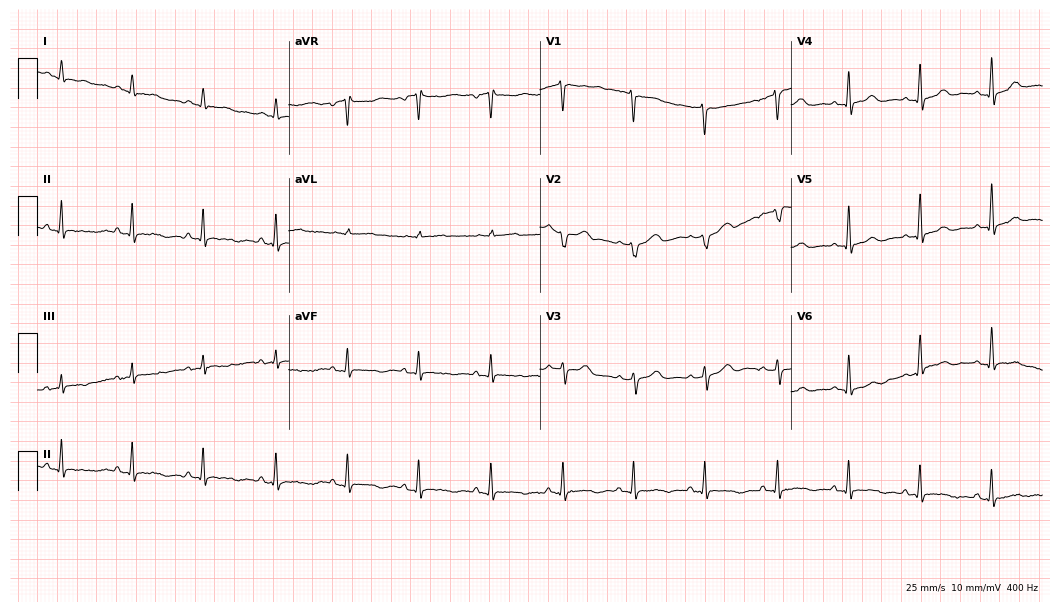
Standard 12-lead ECG recorded from a female, 54 years old (10.2-second recording at 400 Hz). Read as a normal ECG.